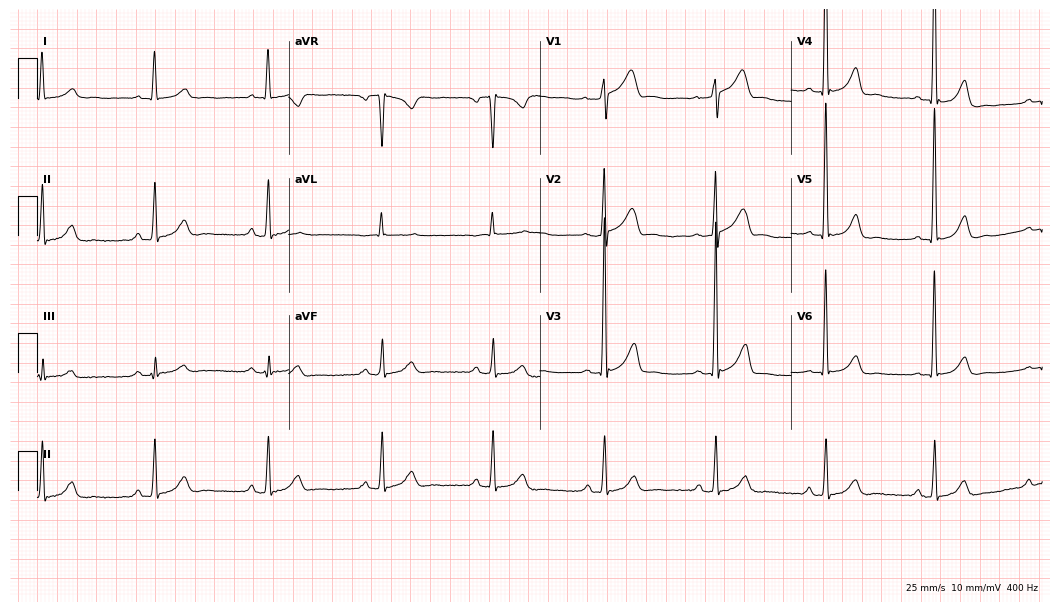
12-lead ECG from a 71-year-old man. No first-degree AV block, right bundle branch block, left bundle branch block, sinus bradycardia, atrial fibrillation or sinus tachycardia recorded for this tracing.